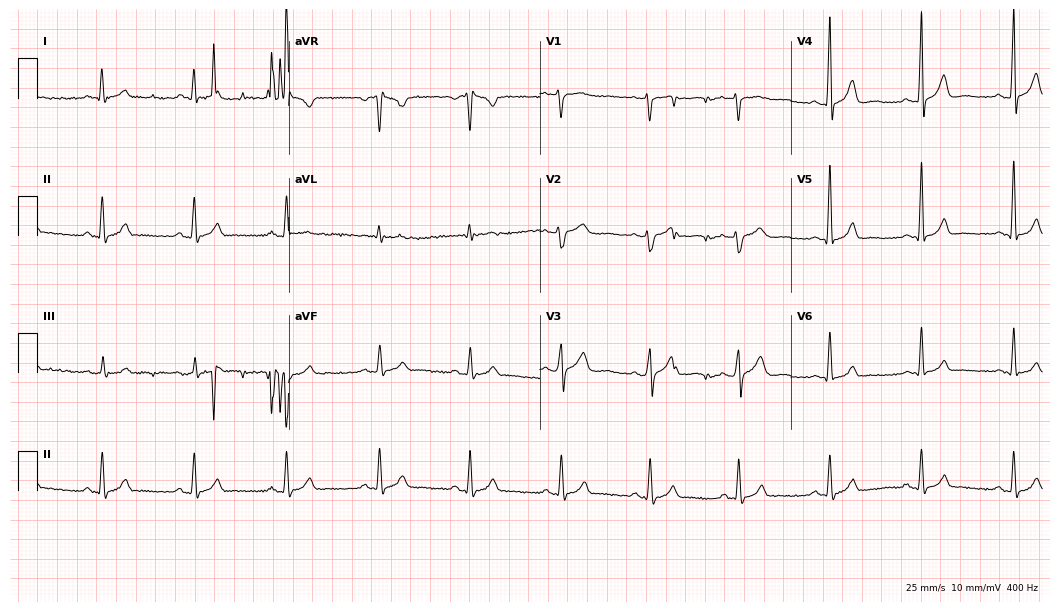
Standard 12-lead ECG recorded from a male, 37 years old. None of these six findings is recorded: first-degree AV block, right bundle branch block, left bundle branch block, sinus bradycardia, atrial fibrillation, sinus tachycardia. Findings outside these six are not listed.